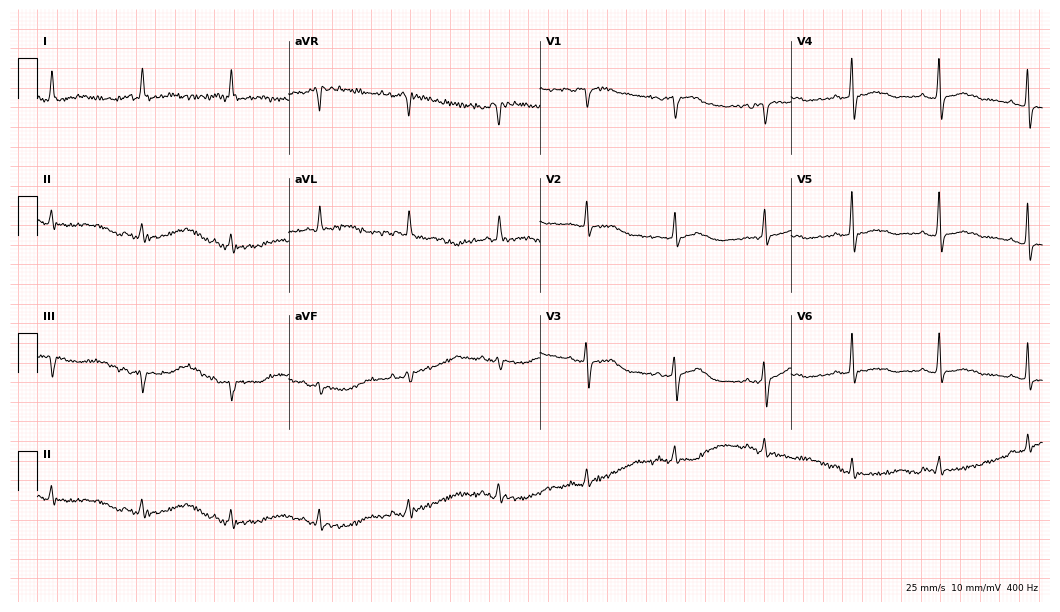
12-lead ECG (10.2-second recording at 400 Hz) from a female patient, 73 years old. Screened for six findings — first-degree AV block, right bundle branch block, left bundle branch block, sinus bradycardia, atrial fibrillation, sinus tachycardia — none is recorded.